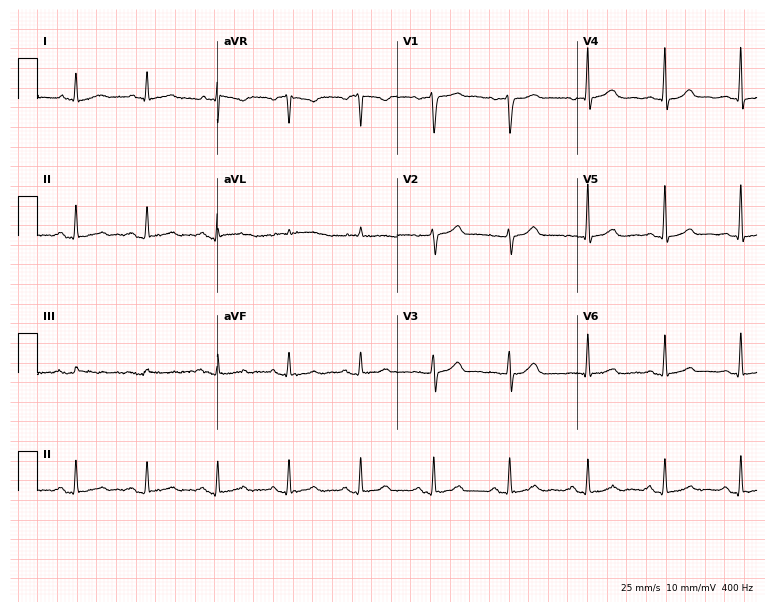
12-lead ECG from a 59-year-old male patient. Labelled as a normal ECG.